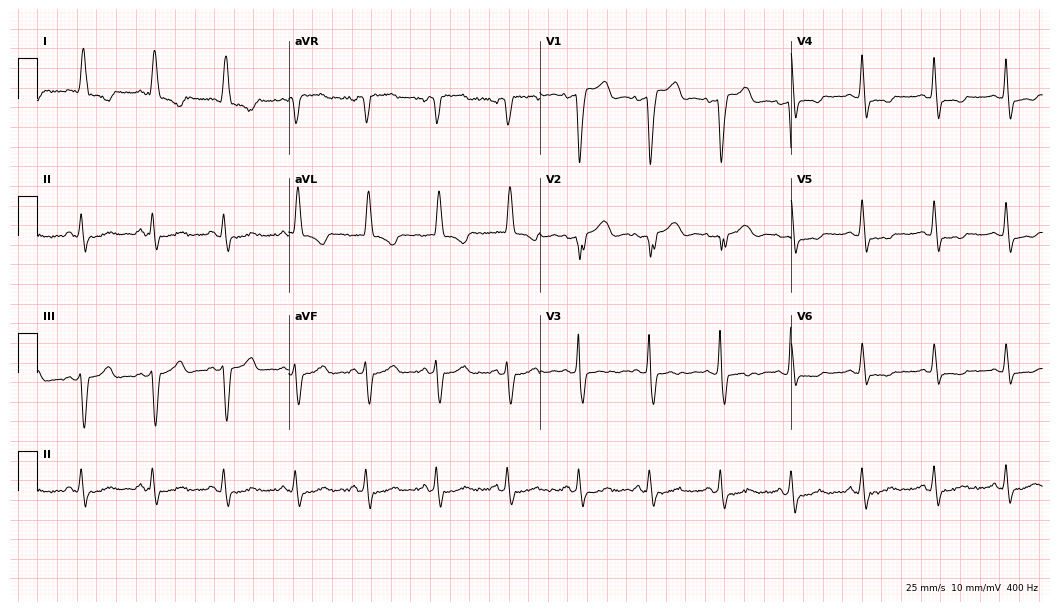
Resting 12-lead electrocardiogram. Patient: a female, 80 years old. None of these six findings is recorded: first-degree AV block, right bundle branch block (RBBB), left bundle branch block (LBBB), sinus bradycardia, atrial fibrillation (AF), sinus tachycardia.